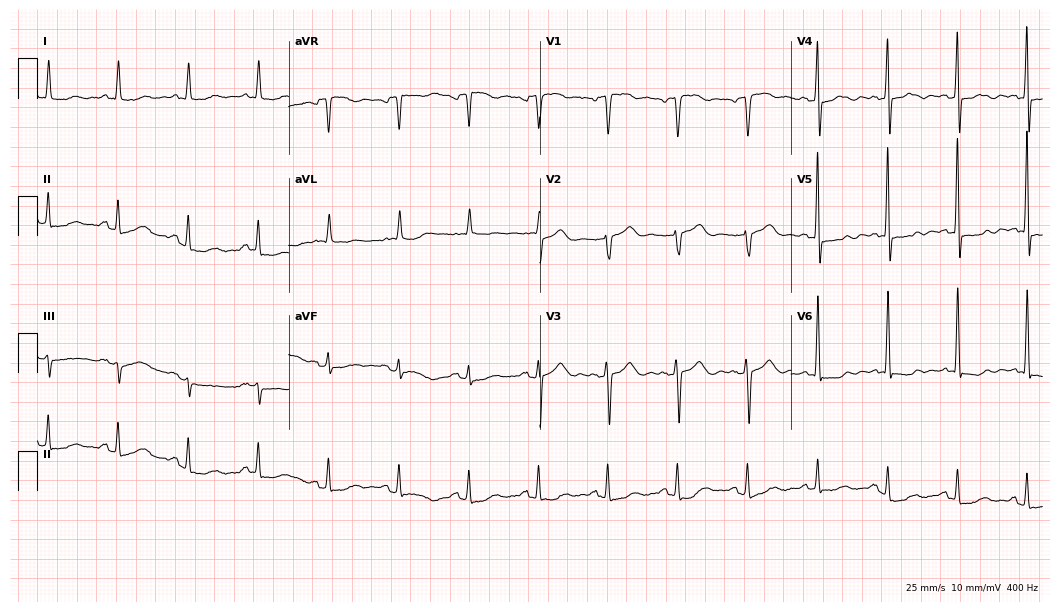
Resting 12-lead electrocardiogram. Patient: a man, 80 years old. None of these six findings is recorded: first-degree AV block, right bundle branch block, left bundle branch block, sinus bradycardia, atrial fibrillation, sinus tachycardia.